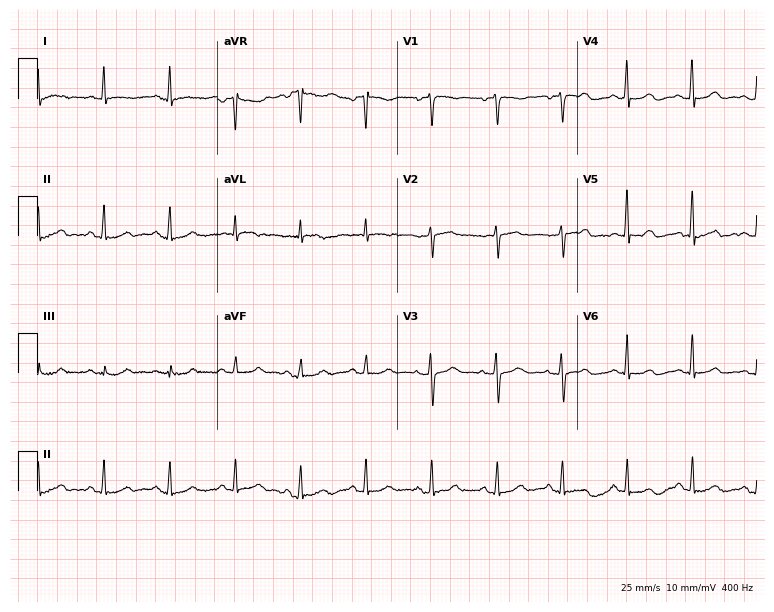
Resting 12-lead electrocardiogram. Patient: a female, 54 years old. None of these six findings is recorded: first-degree AV block, right bundle branch block, left bundle branch block, sinus bradycardia, atrial fibrillation, sinus tachycardia. Only these six findings were labelled.